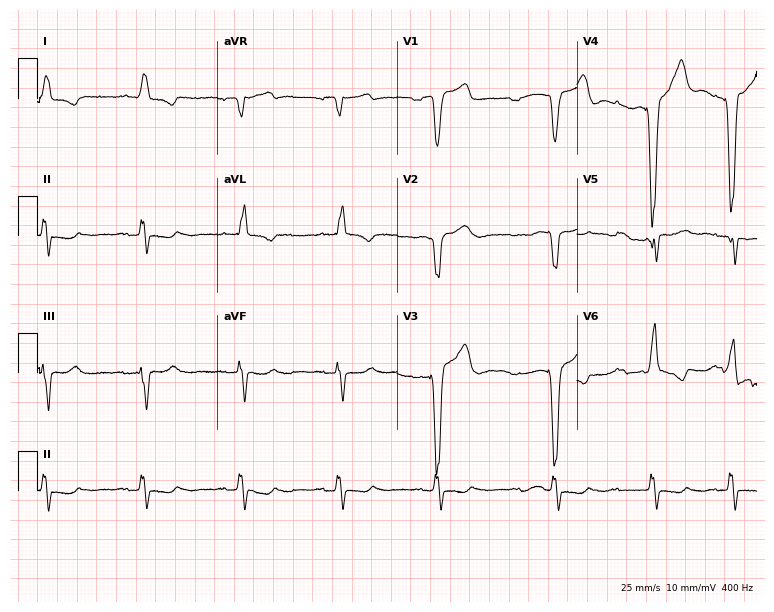
Resting 12-lead electrocardiogram. Patient: an 83-year-old man. None of these six findings is recorded: first-degree AV block, right bundle branch block, left bundle branch block, sinus bradycardia, atrial fibrillation, sinus tachycardia. Only these six findings were labelled.